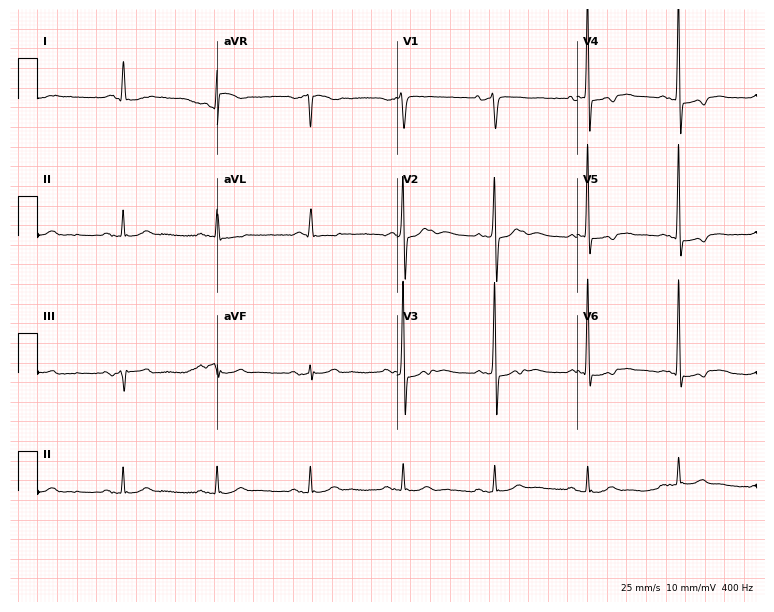
Electrocardiogram, a male, 73 years old. Of the six screened findings (first-degree AV block, right bundle branch block (RBBB), left bundle branch block (LBBB), sinus bradycardia, atrial fibrillation (AF), sinus tachycardia), none is recorded.